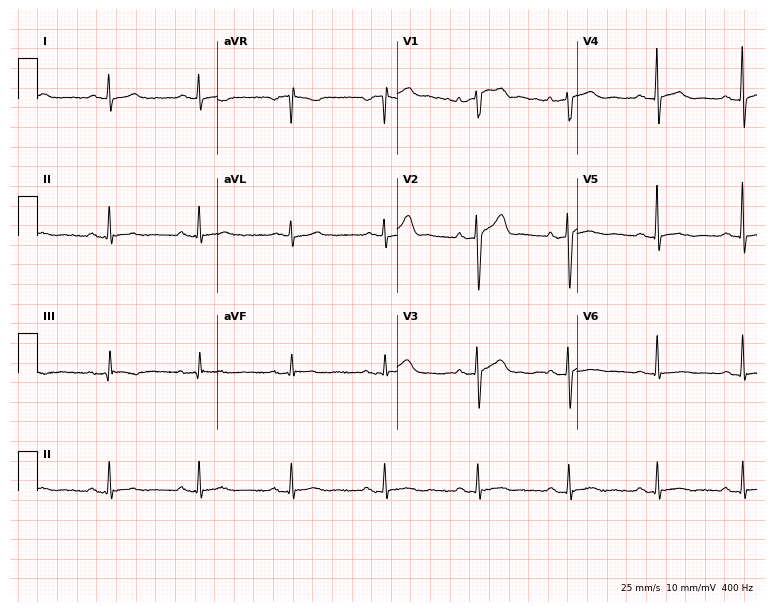
12-lead ECG from a 59-year-old man. Screened for six findings — first-degree AV block, right bundle branch block (RBBB), left bundle branch block (LBBB), sinus bradycardia, atrial fibrillation (AF), sinus tachycardia — none is recorded.